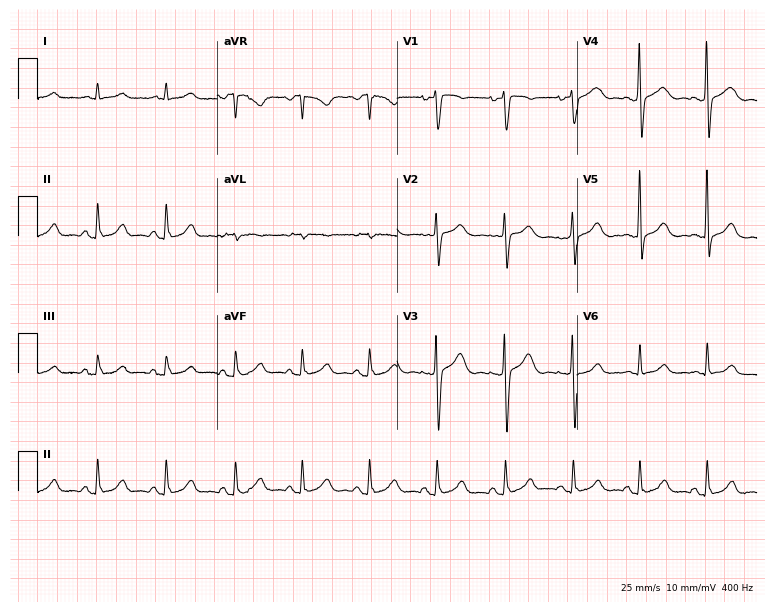
Electrocardiogram, a woman, 32 years old. Overall reading on record: normal ECG.